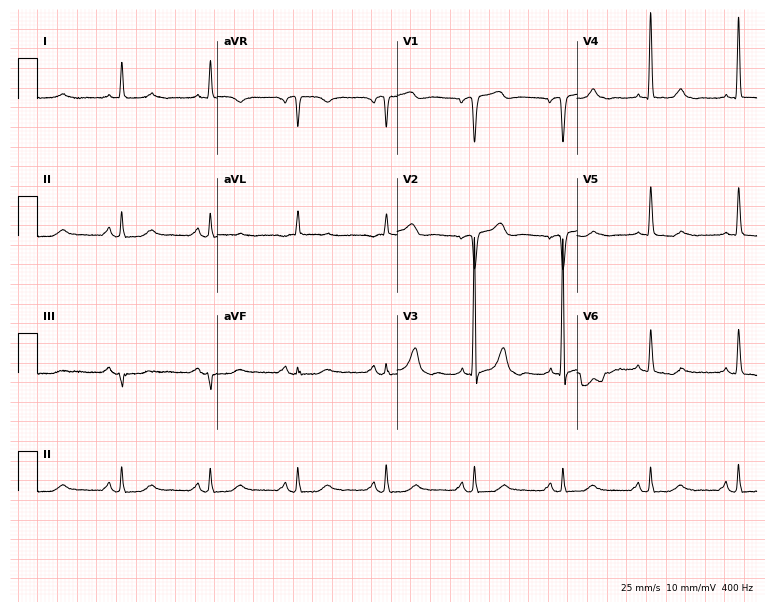
12-lead ECG (7.3-second recording at 400 Hz) from a male patient, 76 years old. Screened for six findings — first-degree AV block, right bundle branch block, left bundle branch block, sinus bradycardia, atrial fibrillation, sinus tachycardia — none is recorded.